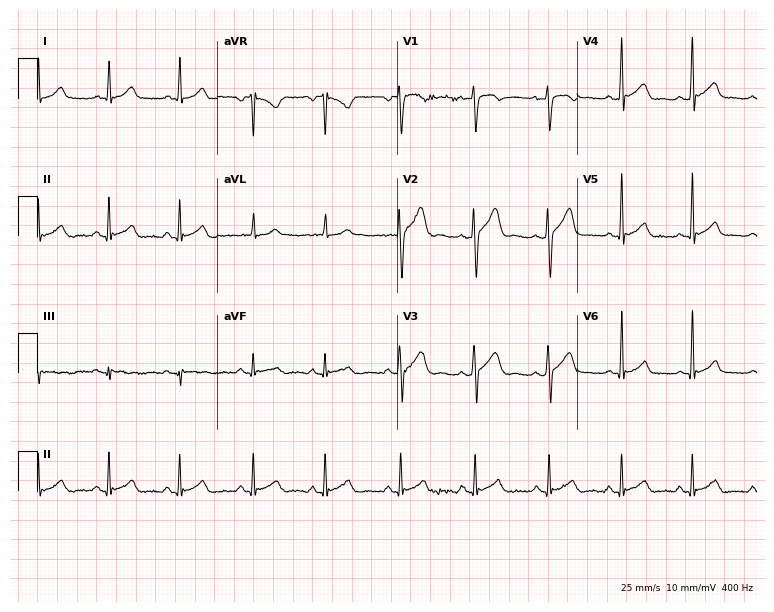
Electrocardiogram, a male, 25 years old. Overall reading on record: normal ECG.